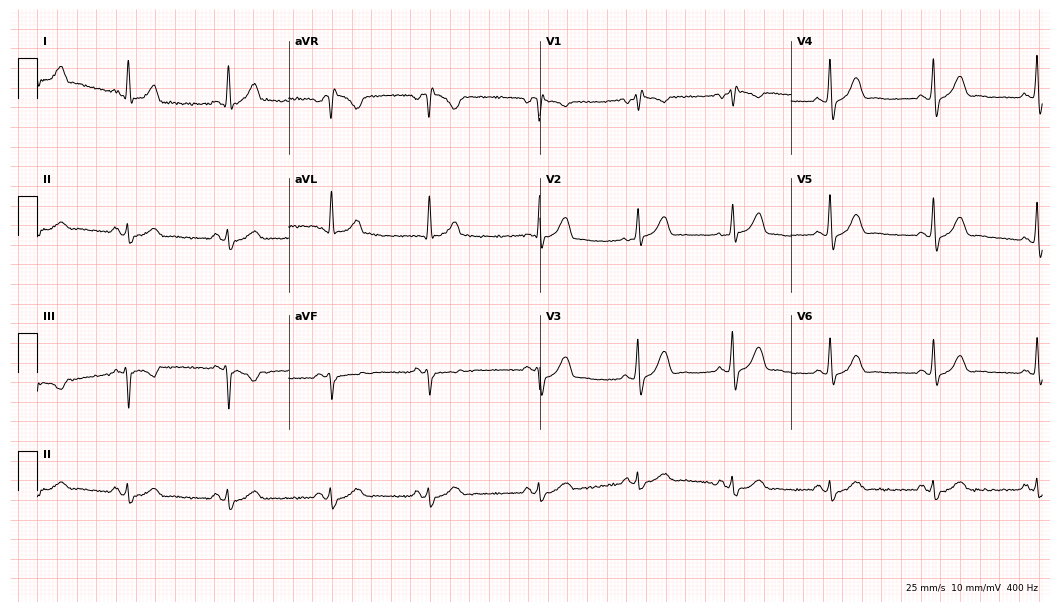
Standard 12-lead ECG recorded from a 51-year-old male (10.2-second recording at 400 Hz). None of these six findings is recorded: first-degree AV block, right bundle branch block, left bundle branch block, sinus bradycardia, atrial fibrillation, sinus tachycardia.